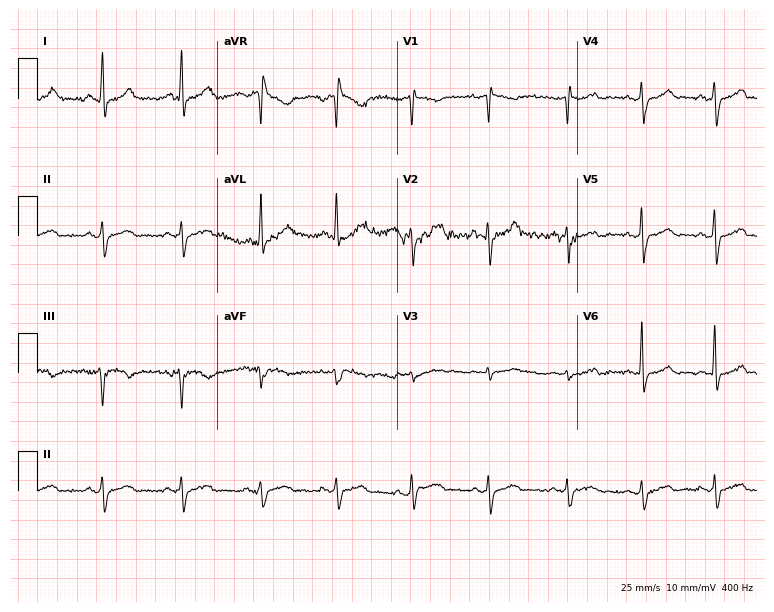
Electrocardiogram (7.3-second recording at 400 Hz), a male, 37 years old. Of the six screened findings (first-degree AV block, right bundle branch block (RBBB), left bundle branch block (LBBB), sinus bradycardia, atrial fibrillation (AF), sinus tachycardia), none is recorded.